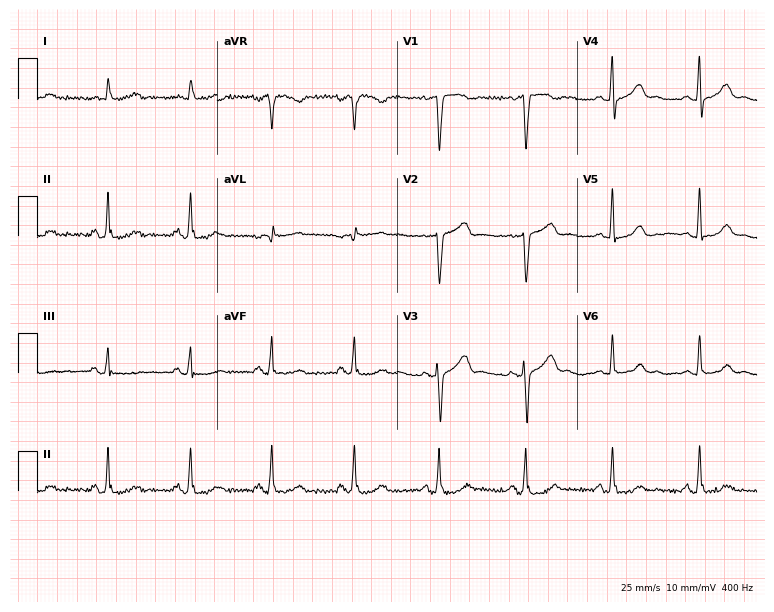
ECG (7.3-second recording at 400 Hz) — a 58-year-old female. Labelled as a normal ECG.